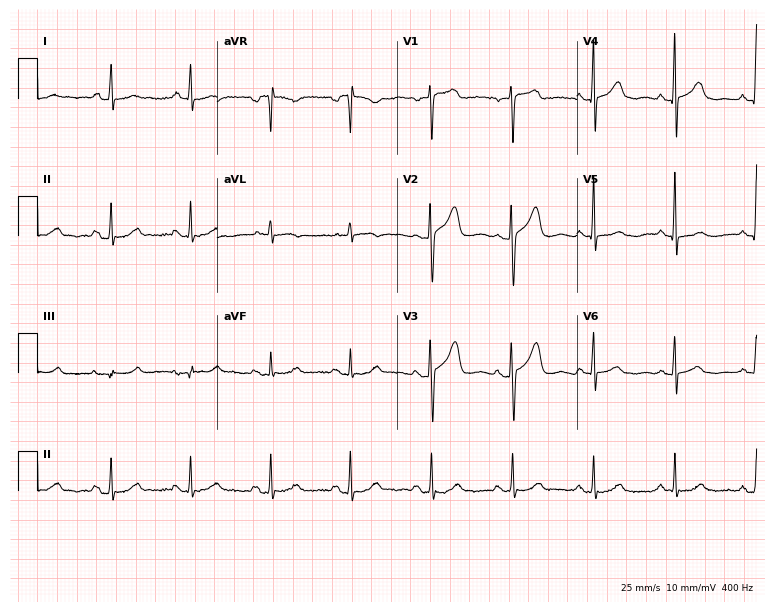
ECG (7.3-second recording at 400 Hz) — a 74-year-old woman. Screened for six findings — first-degree AV block, right bundle branch block, left bundle branch block, sinus bradycardia, atrial fibrillation, sinus tachycardia — none is recorded.